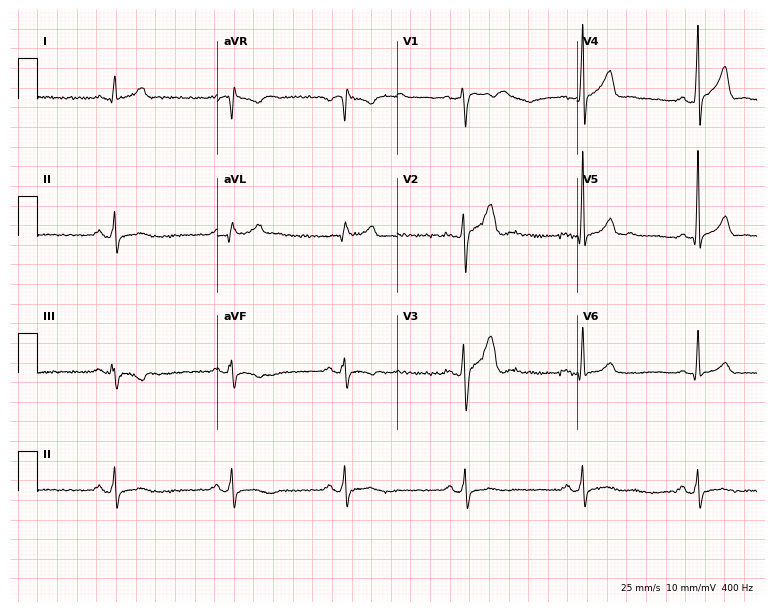
12-lead ECG (7.3-second recording at 400 Hz) from a 32-year-old male. Labelled as a normal ECG.